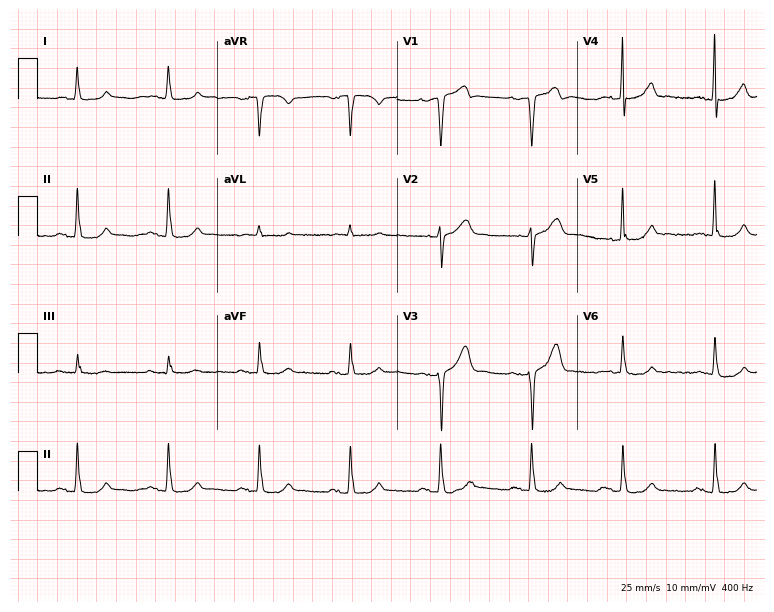
12-lead ECG from a 77-year-old man. Recorded interpretation: within normal limits.